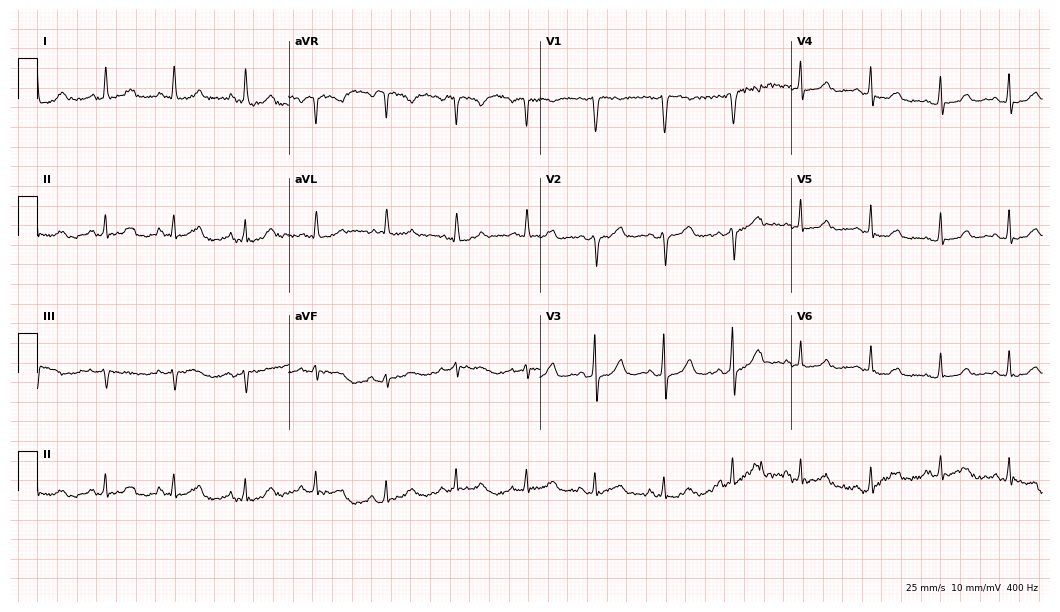
12-lead ECG from a female, 52 years old (10.2-second recording at 400 Hz). Recorded interpretation: within normal limits.